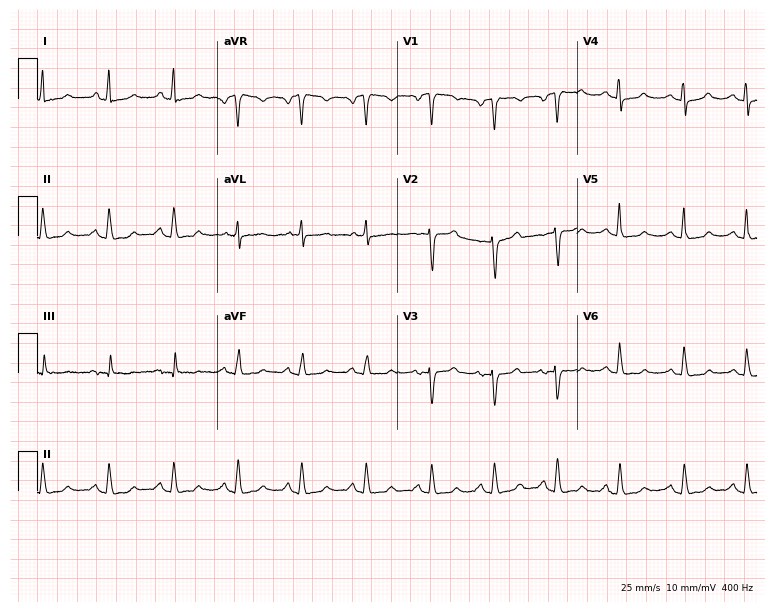
12-lead ECG from a 78-year-old female (7.3-second recording at 400 Hz). No first-degree AV block, right bundle branch block, left bundle branch block, sinus bradycardia, atrial fibrillation or sinus tachycardia recorded for this tracing. Other findings, if any, are not listed.